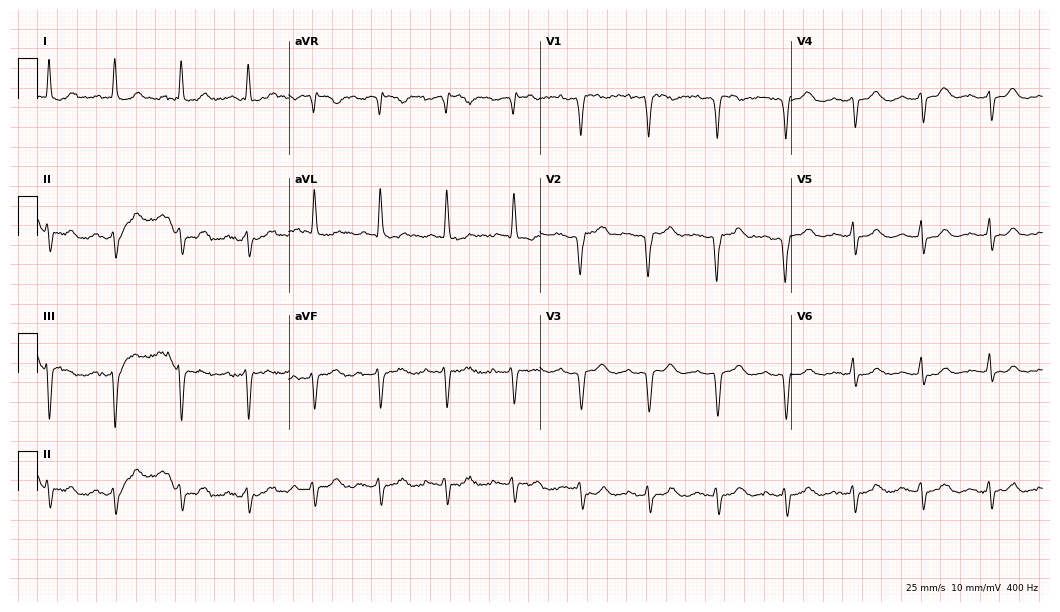
Resting 12-lead electrocardiogram (10.2-second recording at 400 Hz). Patient: an 85-year-old woman. None of these six findings is recorded: first-degree AV block, right bundle branch block, left bundle branch block, sinus bradycardia, atrial fibrillation, sinus tachycardia.